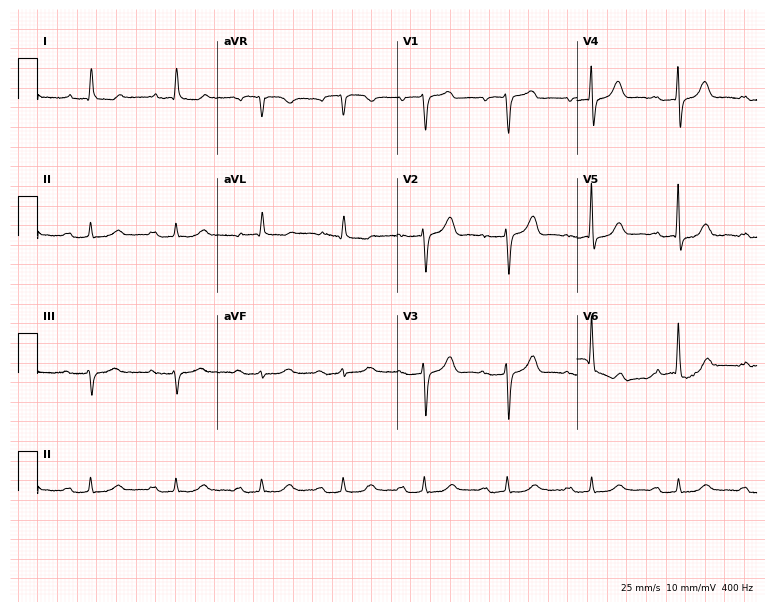
Standard 12-lead ECG recorded from an 87-year-old male. None of these six findings is recorded: first-degree AV block, right bundle branch block, left bundle branch block, sinus bradycardia, atrial fibrillation, sinus tachycardia.